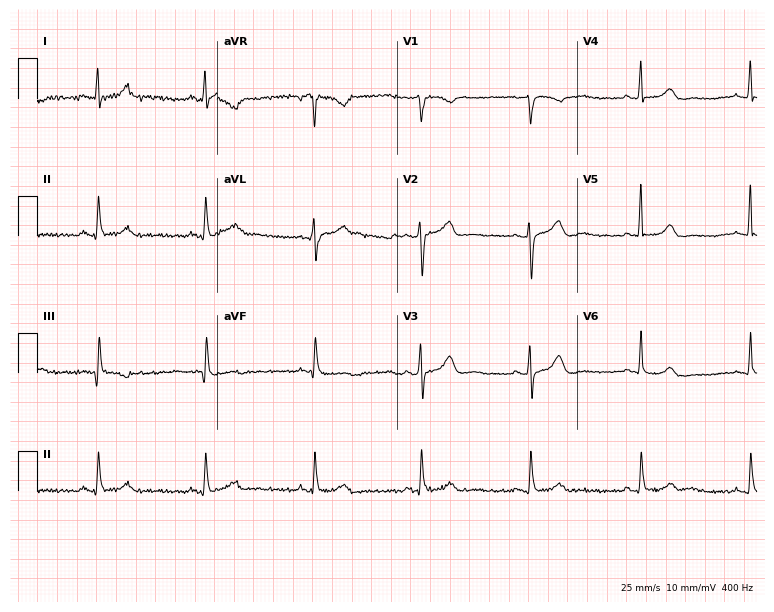
Resting 12-lead electrocardiogram (7.3-second recording at 400 Hz). Patient: a 55-year-old female. Read as a normal ECG.